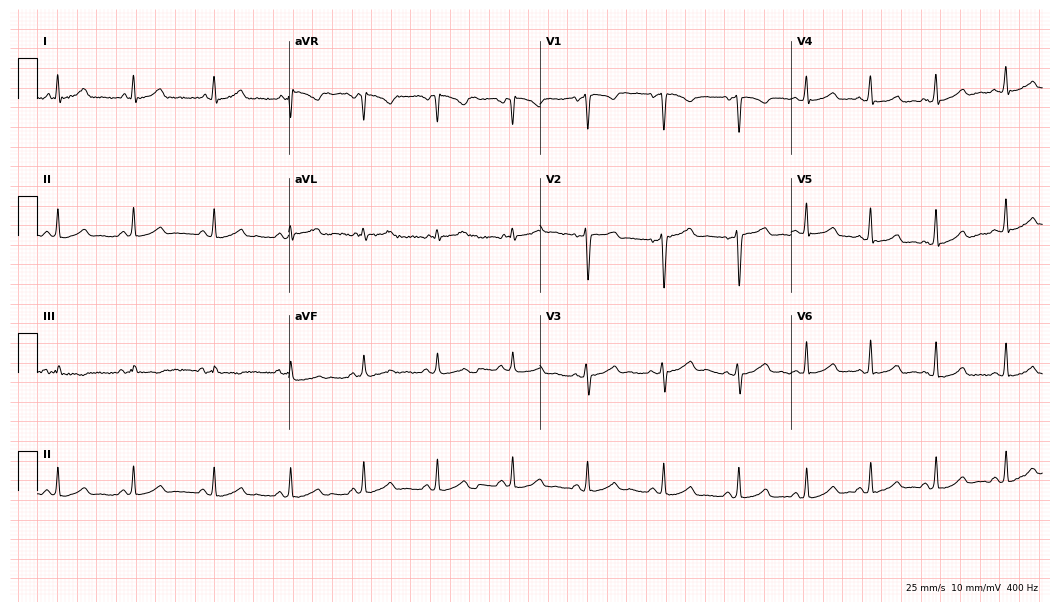
Electrocardiogram (10.2-second recording at 400 Hz), a 36-year-old female patient. Overall reading on record: normal ECG.